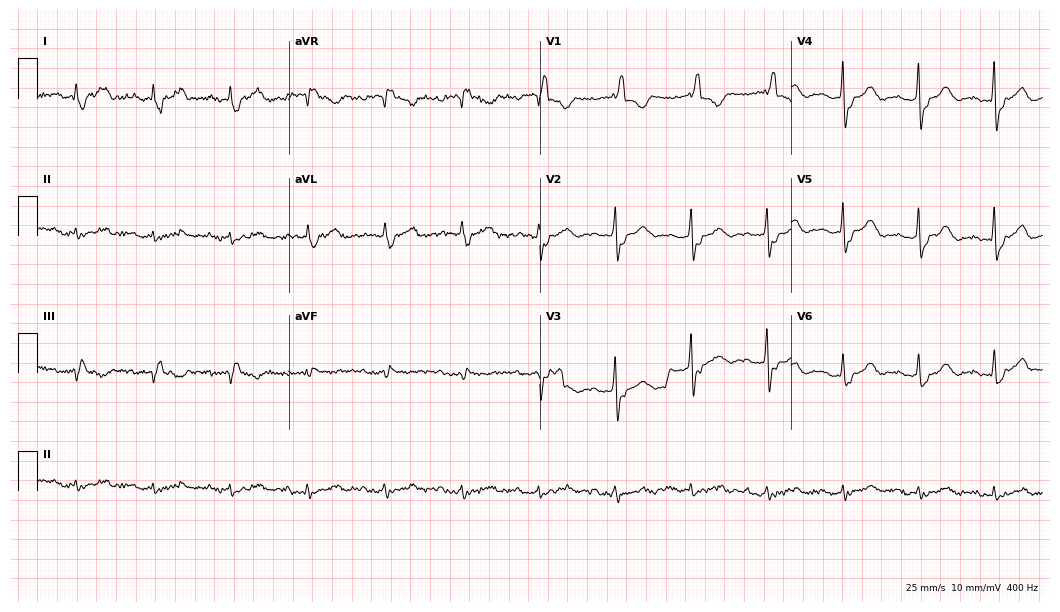
Standard 12-lead ECG recorded from a 69-year-old male. None of these six findings is recorded: first-degree AV block, right bundle branch block (RBBB), left bundle branch block (LBBB), sinus bradycardia, atrial fibrillation (AF), sinus tachycardia. Findings outside these six are not listed.